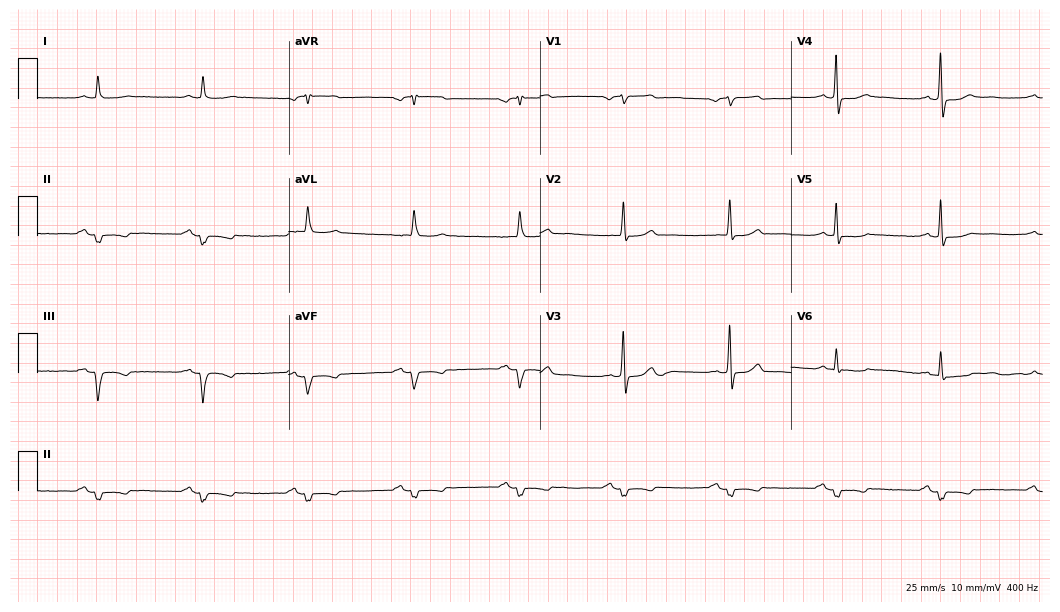
ECG (10.2-second recording at 400 Hz) — an 84-year-old male. Screened for six findings — first-degree AV block, right bundle branch block, left bundle branch block, sinus bradycardia, atrial fibrillation, sinus tachycardia — none is recorded. Other findings, if any, are not listed.